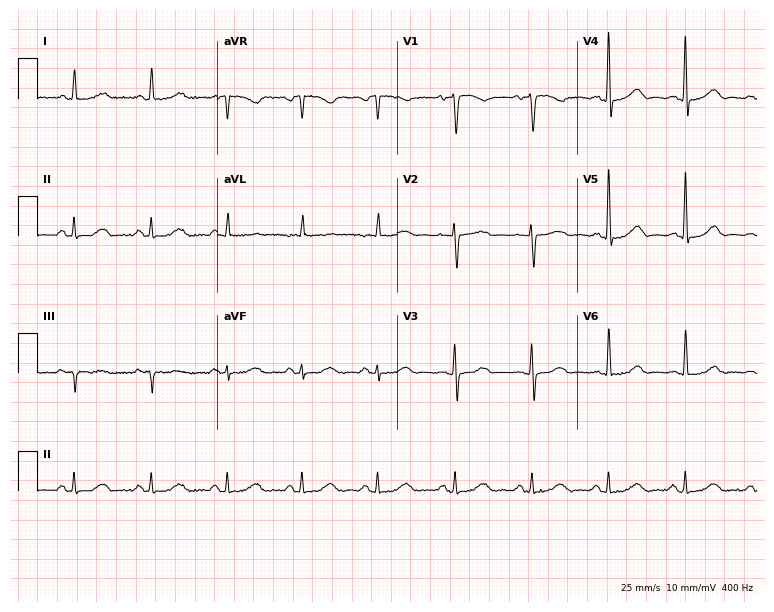
Electrocardiogram, a female patient, 72 years old. Overall reading on record: normal ECG.